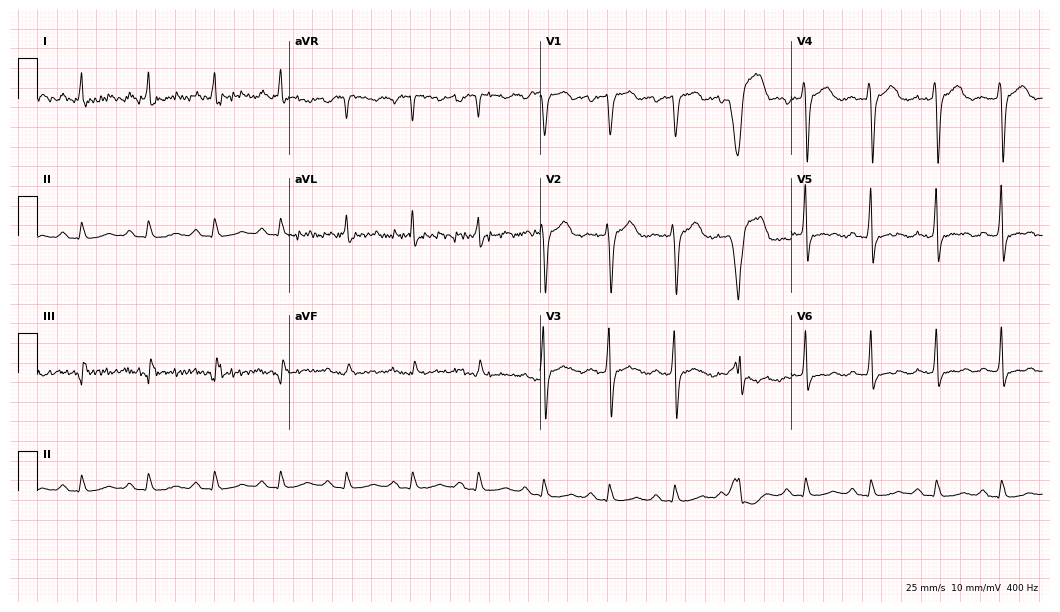
12-lead ECG from a 78-year-old man. Screened for six findings — first-degree AV block, right bundle branch block (RBBB), left bundle branch block (LBBB), sinus bradycardia, atrial fibrillation (AF), sinus tachycardia — none is recorded.